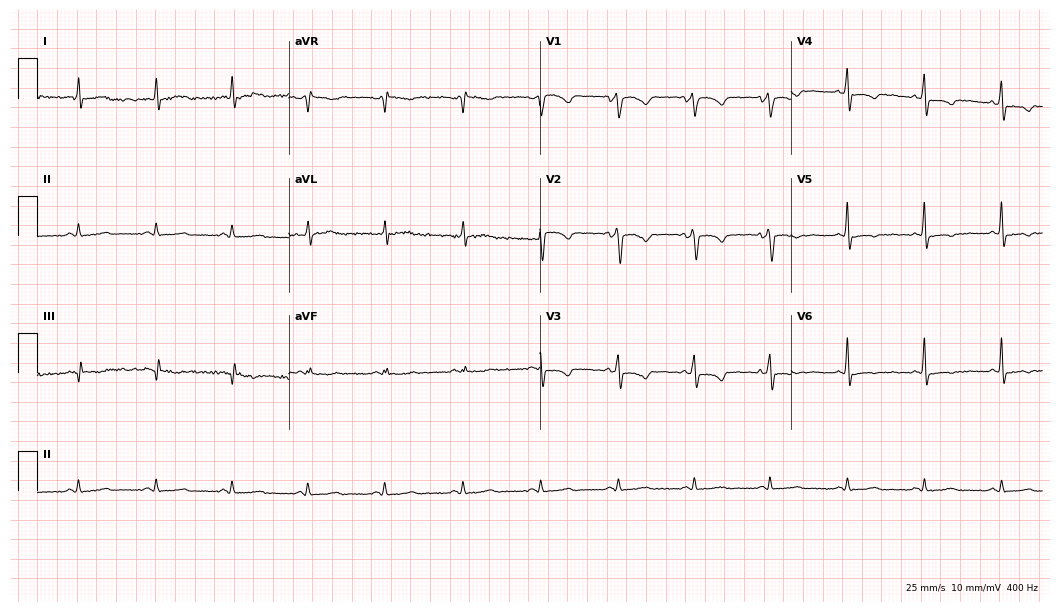
Electrocardiogram (10.2-second recording at 400 Hz), a 51-year-old woman. Of the six screened findings (first-degree AV block, right bundle branch block, left bundle branch block, sinus bradycardia, atrial fibrillation, sinus tachycardia), none is recorded.